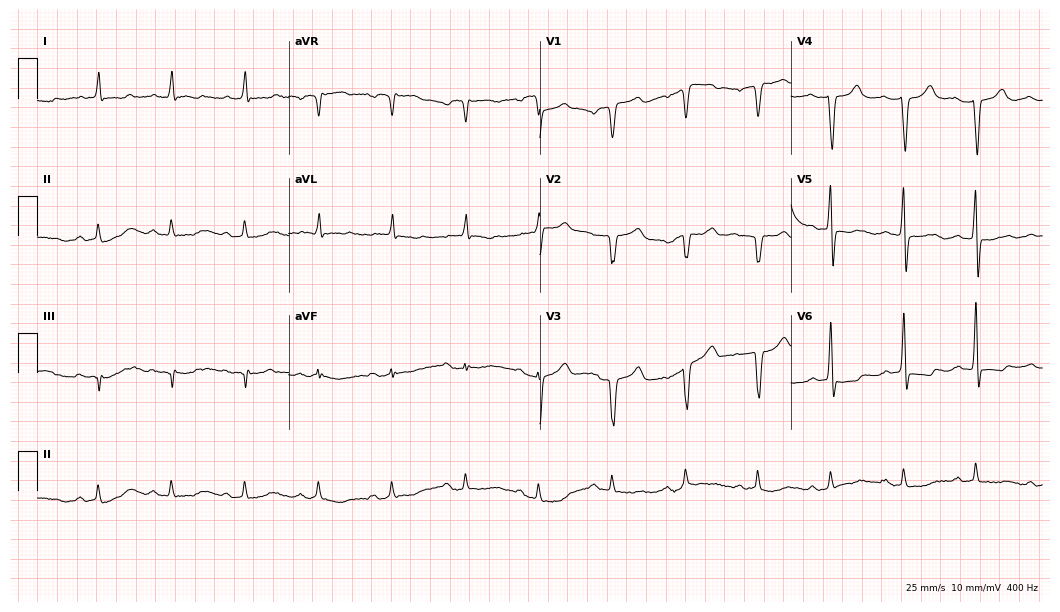
12-lead ECG from a female, 82 years old. No first-degree AV block, right bundle branch block (RBBB), left bundle branch block (LBBB), sinus bradycardia, atrial fibrillation (AF) or sinus tachycardia recorded for this tracing. Other findings, if any, are not listed.